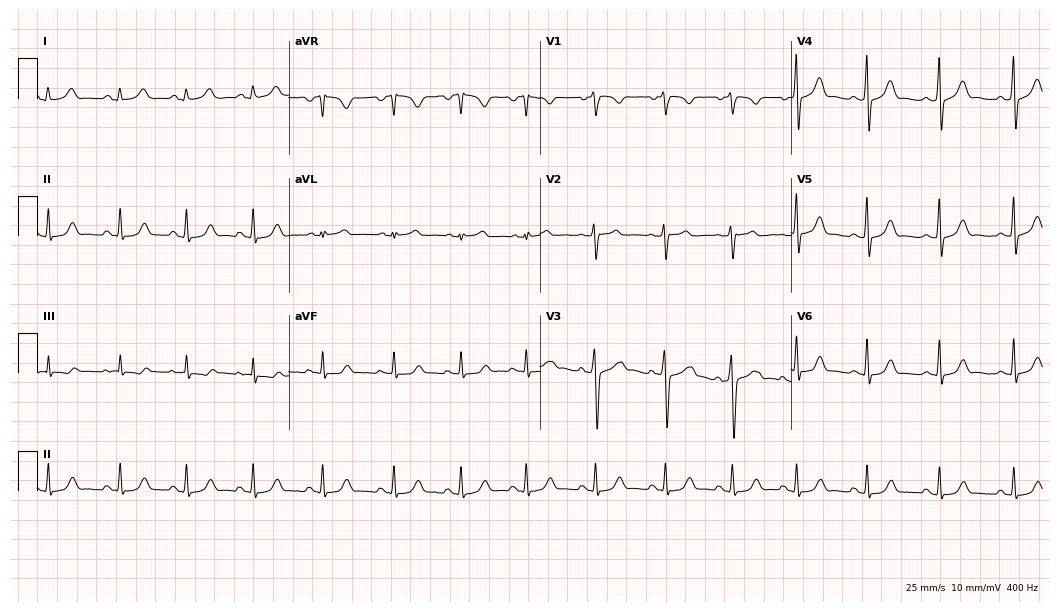
ECG (10.2-second recording at 400 Hz) — a female, 20 years old. Labelled as a normal ECG.